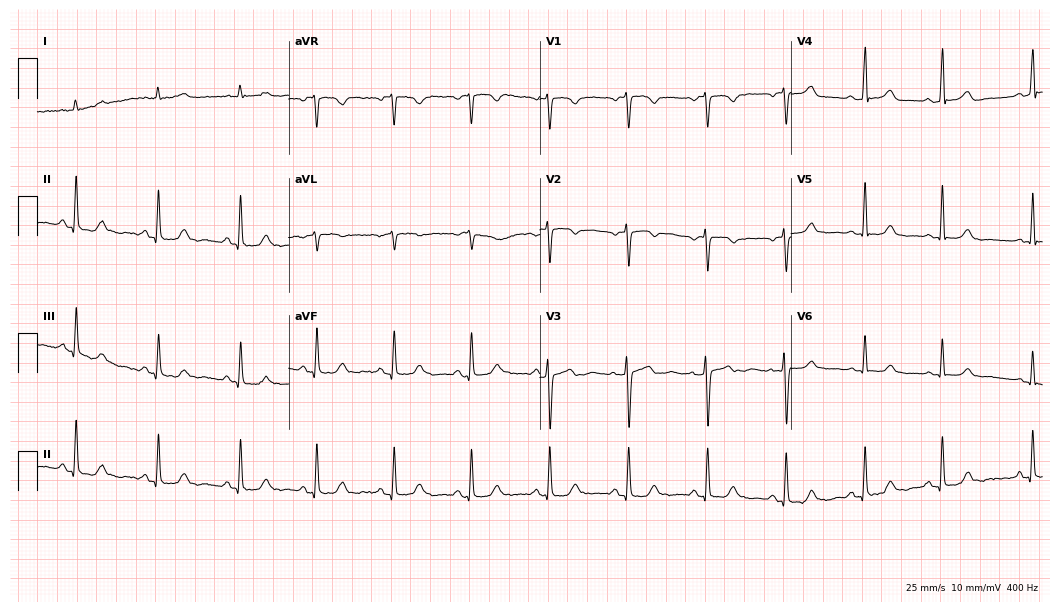
12-lead ECG from a 58-year-old woman. Labelled as a normal ECG.